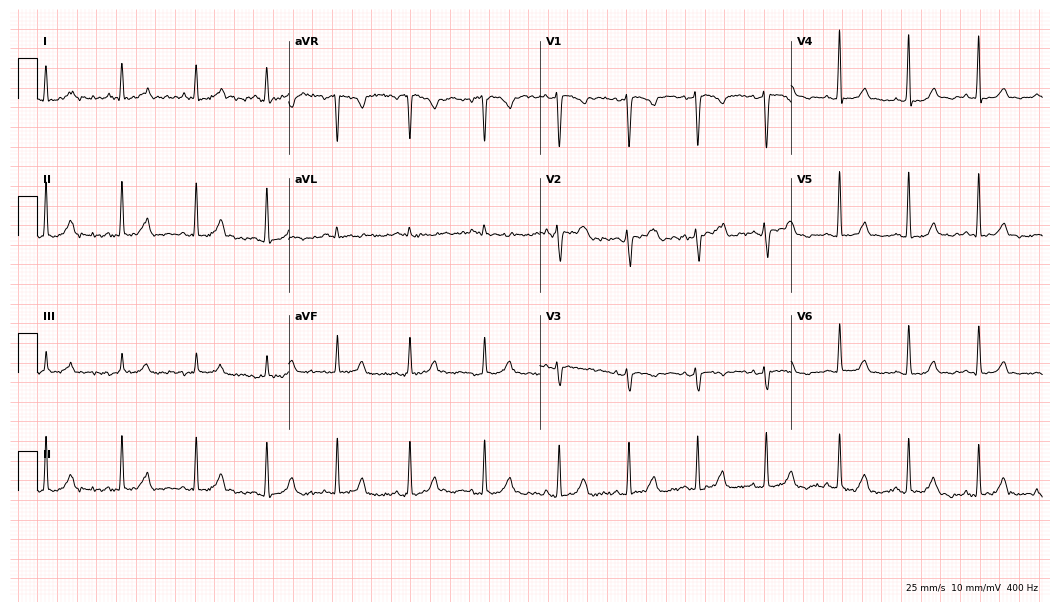
Electrocardiogram (10.2-second recording at 400 Hz), a female, 36 years old. Overall reading on record: normal ECG.